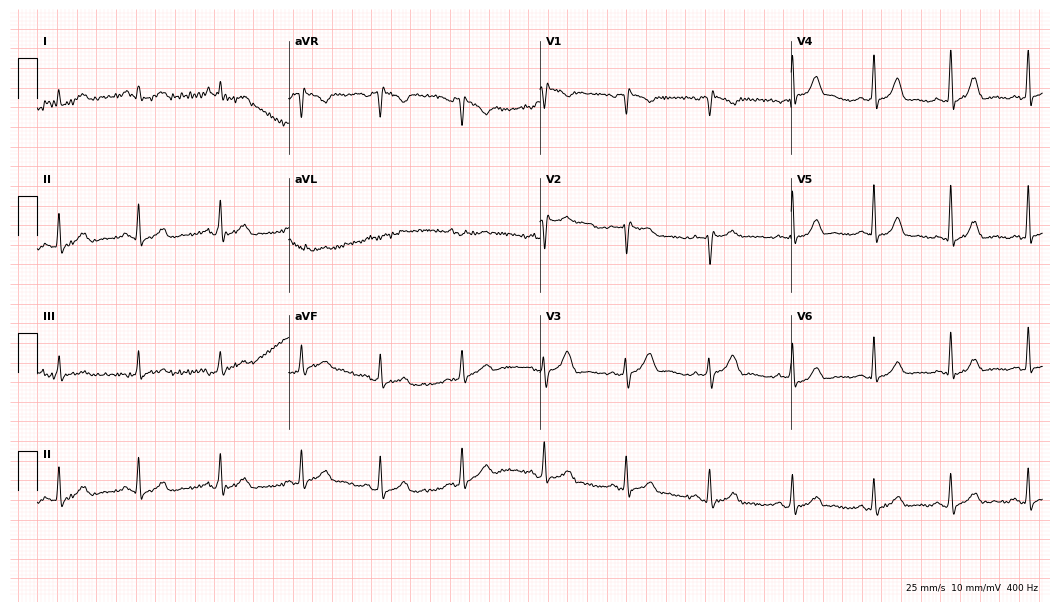
ECG (10.2-second recording at 400 Hz) — a 34-year-old woman. Labelled as a normal ECG.